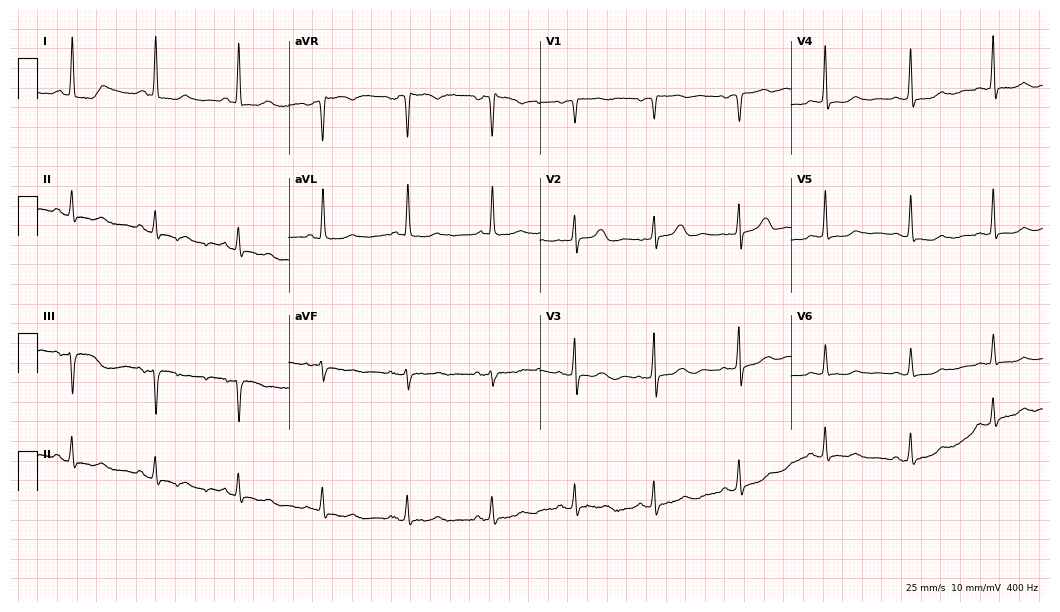
Standard 12-lead ECG recorded from a female patient, 79 years old (10.2-second recording at 400 Hz). Read as a normal ECG.